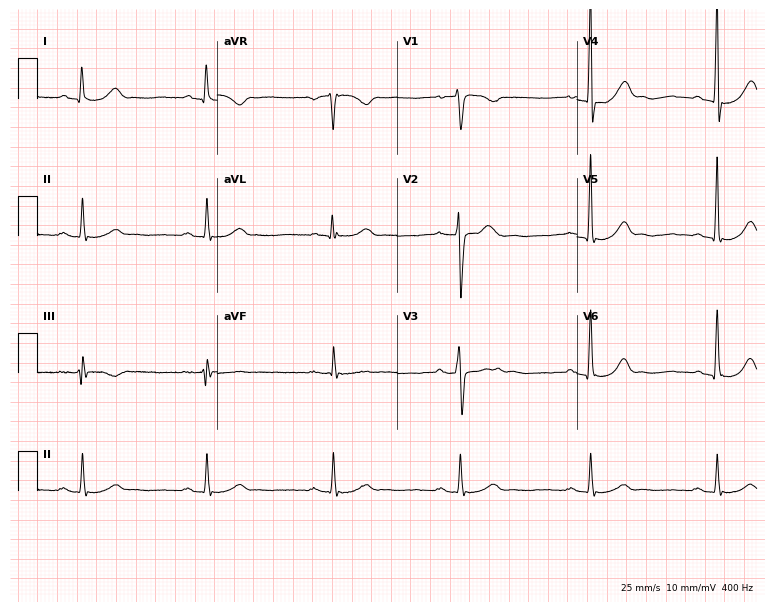
ECG (7.3-second recording at 400 Hz) — a male patient, 42 years old. Findings include first-degree AV block, sinus bradycardia (a sinus rate of 50 beats per minute or less).